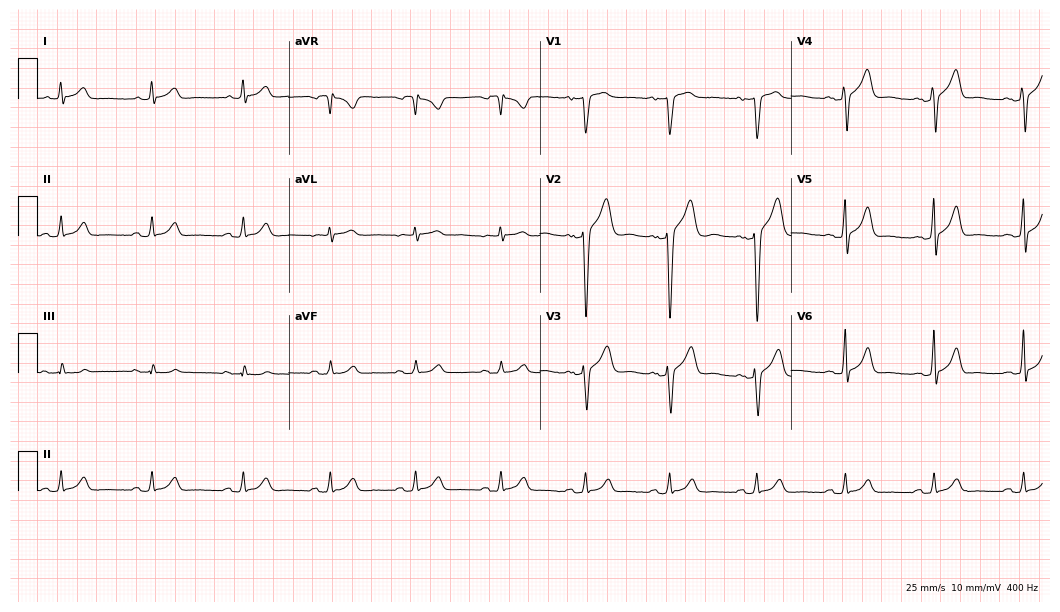
Resting 12-lead electrocardiogram (10.2-second recording at 400 Hz). Patient: a man, 30 years old. Read as a normal ECG.